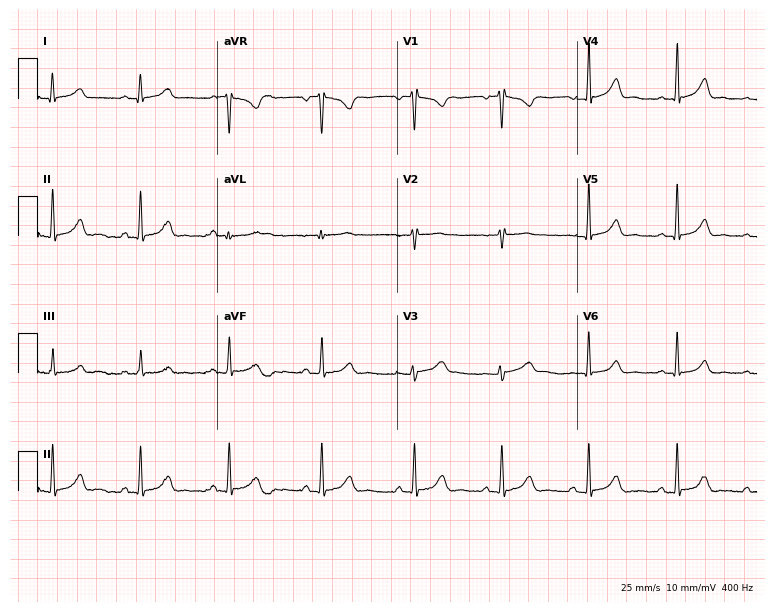
Resting 12-lead electrocardiogram. Patient: a female, 27 years old. None of these six findings is recorded: first-degree AV block, right bundle branch block, left bundle branch block, sinus bradycardia, atrial fibrillation, sinus tachycardia. Findings outside these six are not listed.